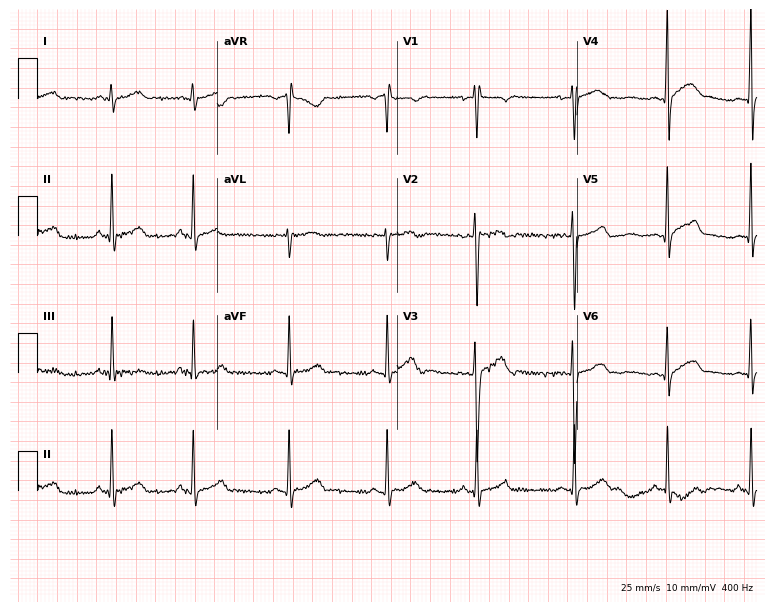
ECG — a male, 19 years old. Labelled as a normal ECG.